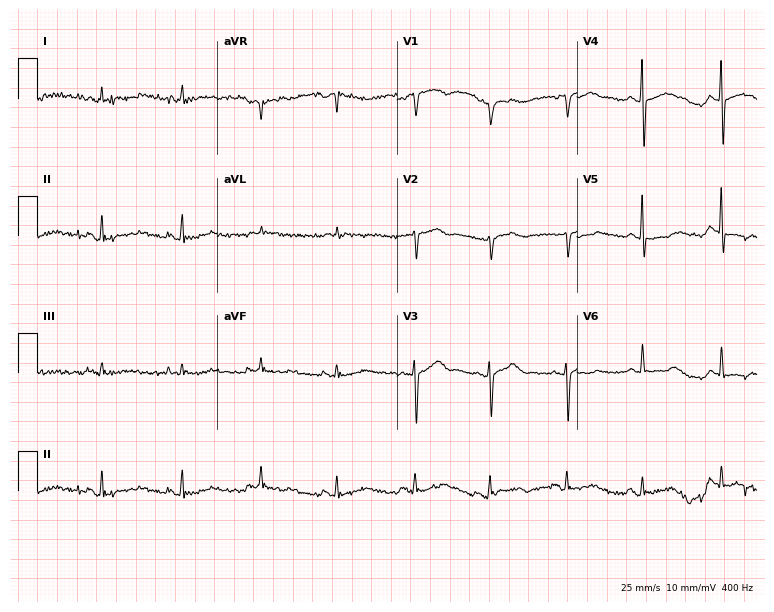
Electrocardiogram, a 65-year-old male. Of the six screened findings (first-degree AV block, right bundle branch block, left bundle branch block, sinus bradycardia, atrial fibrillation, sinus tachycardia), none is recorded.